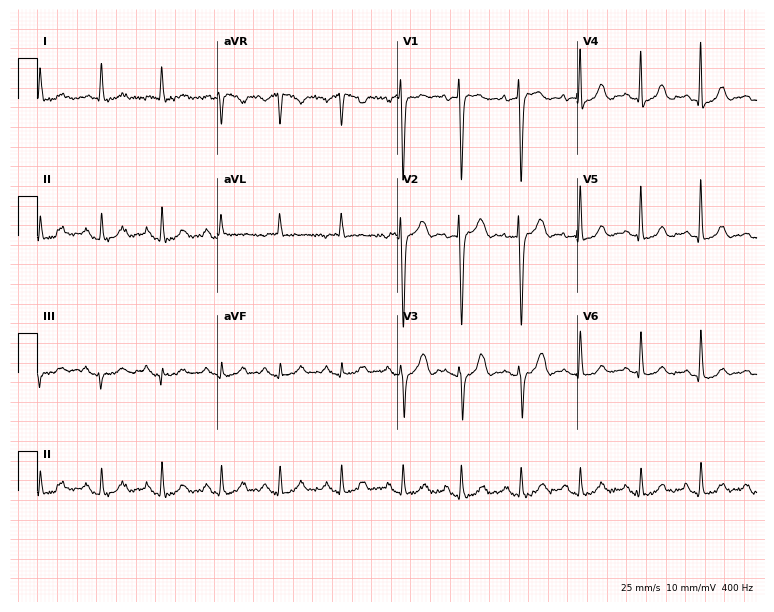
Resting 12-lead electrocardiogram. Patient: a 58-year-old female. None of these six findings is recorded: first-degree AV block, right bundle branch block, left bundle branch block, sinus bradycardia, atrial fibrillation, sinus tachycardia. Findings outside these six are not listed.